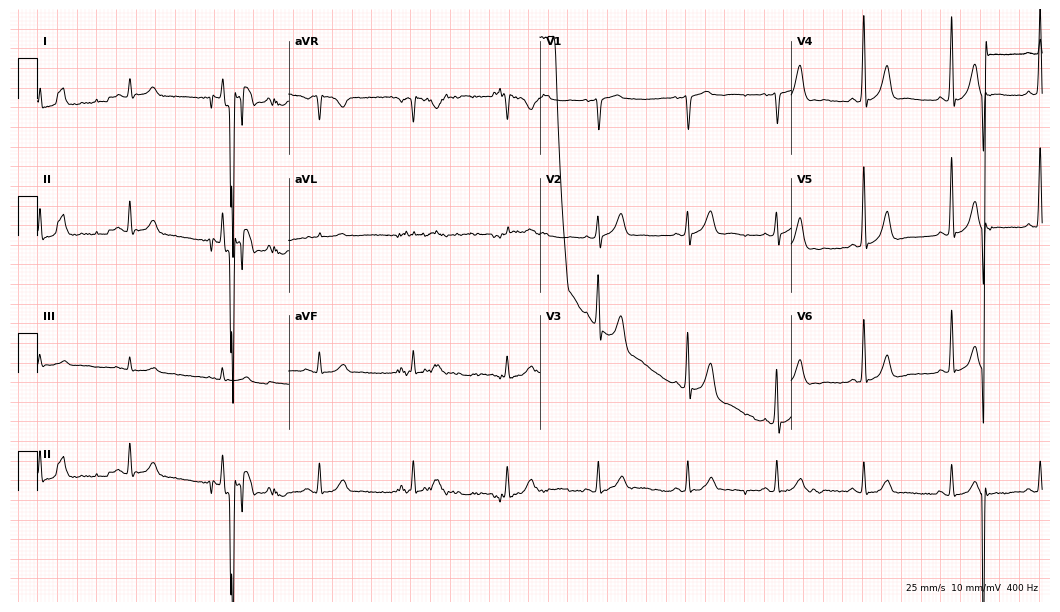
Resting 12-lead electrocardiogram (10.2-second recording at 400 Hz). Patient: a 69-year-old male. None of these six findings is recorded: first-degree AV block, right bundle branch block, left bundle branch block, sinus bradycardia, atrial fibrillation, sinus tachycardia. Other findings, if any, are not listed.